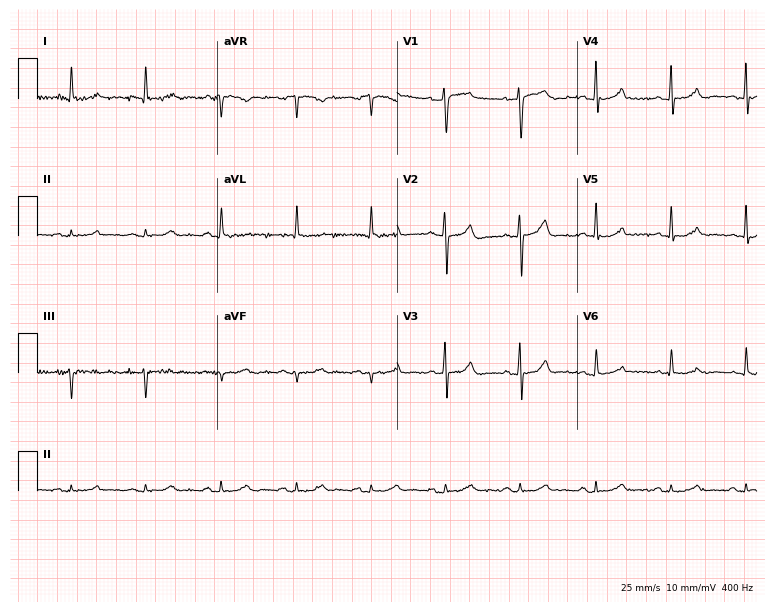
12-lead ECG from a 68-year-old man. Screened for six findings — first-degree AV block, right bundle branch block, left bundle branch block, sinus bradycardia, atrial fibrillation, sinus tachycardia — none is recorded. Other findings, if any, are not listed.